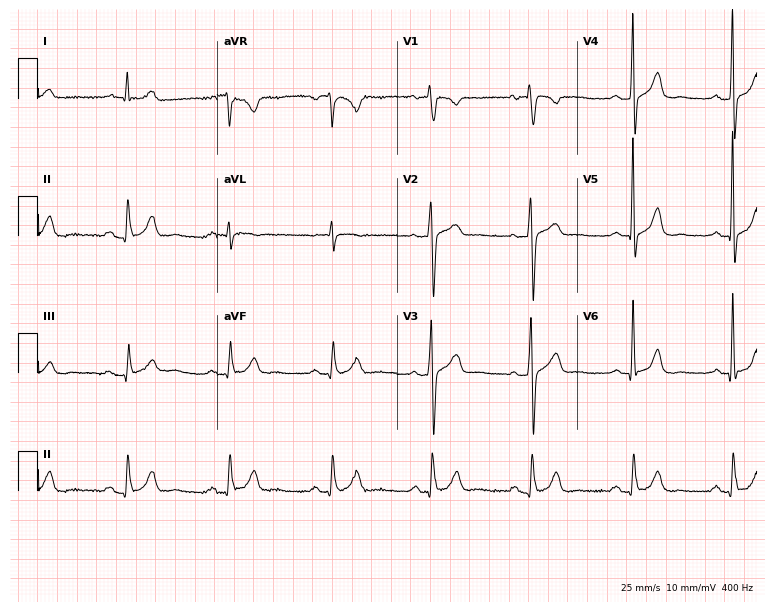
ECG (7.3-second recording at 400 Hz) — a 77-year-old man. Labelled as a normal ECG.